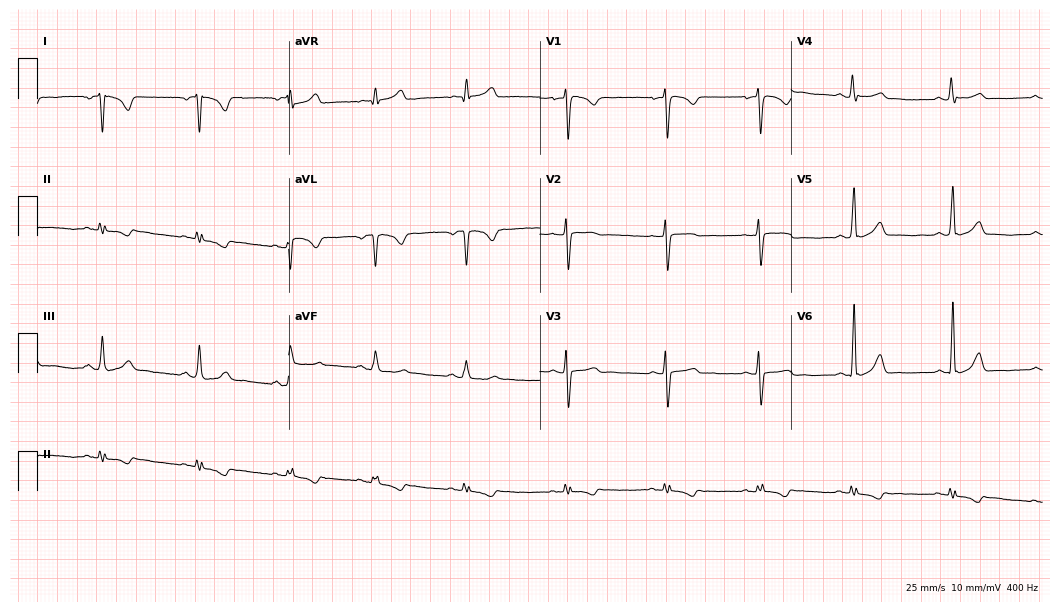
Standard 12-lead ECG recorded from a 23-year-old woman (10.2-second recording at 400 Hz). None of these six findings is recorded: first-degree AV block, right bundle branch block (RBBB), left bundle branch block (LBBB), sinus bradycardia, atrial fibrillation (AF), sinus tachycardia.